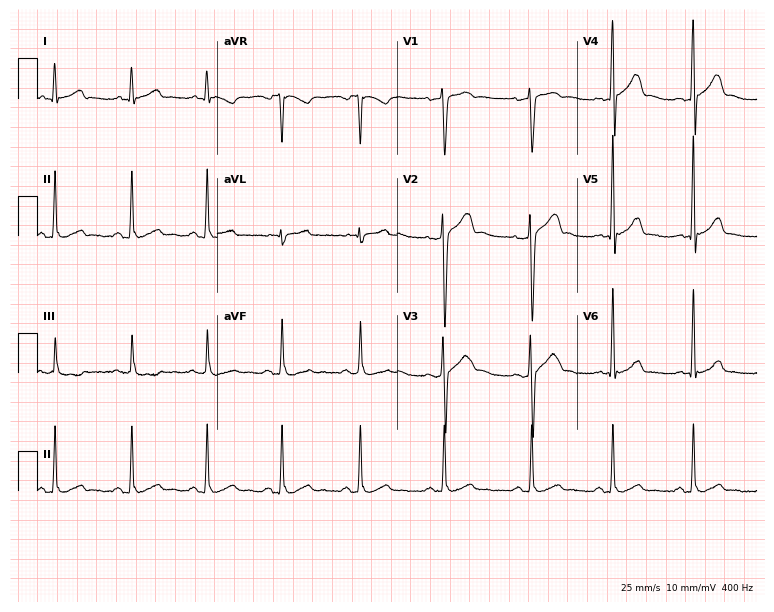
Standard 12-lead ECG recorded from a 38-year-old female patient (7.3-second recording at 400 Hz). Read as a normal ECG.